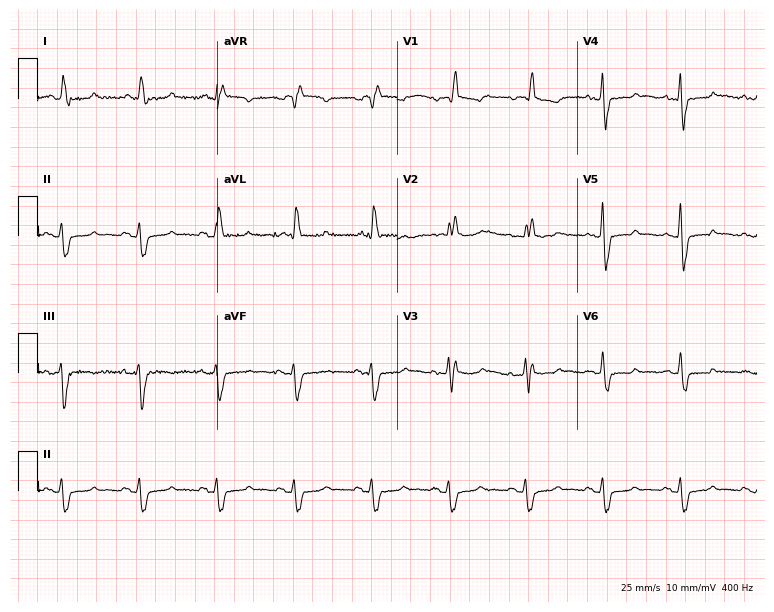
Standard 12-lead ECG recorded from a 61-year-old female. The tracing shows right bundle branch block.